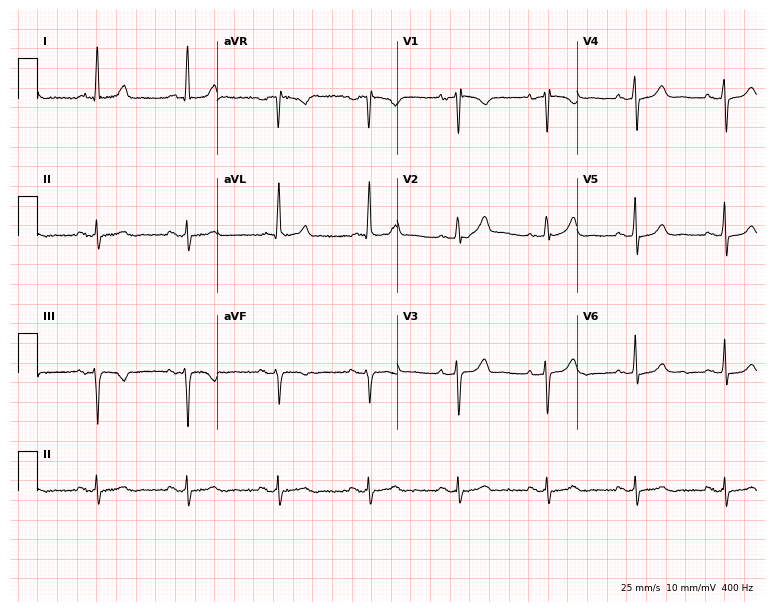
Electrocardiogram (7.3-second recording at 400 Hz), a female, 65 years old. Overall reading on record: normal ECG.